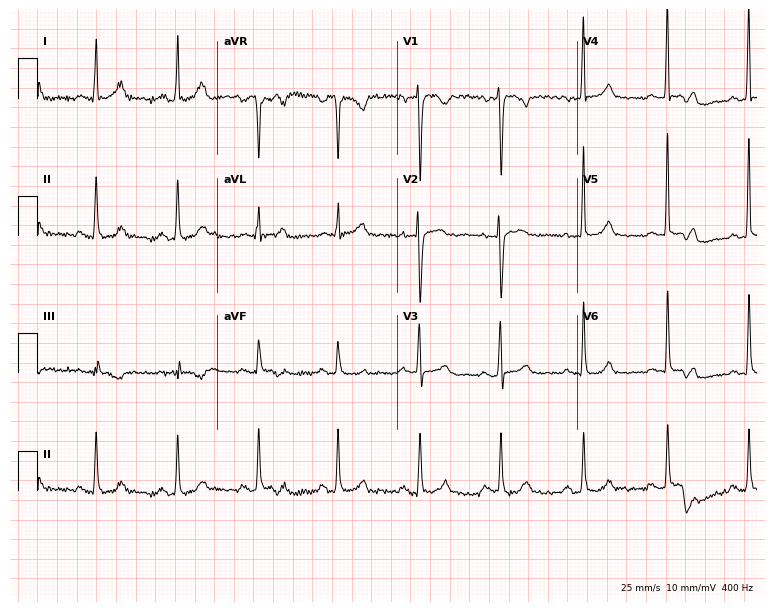
ECG (7.3-second recording at 400 Hz) — a woman, 51 years old. Labelled as a normal ECG.